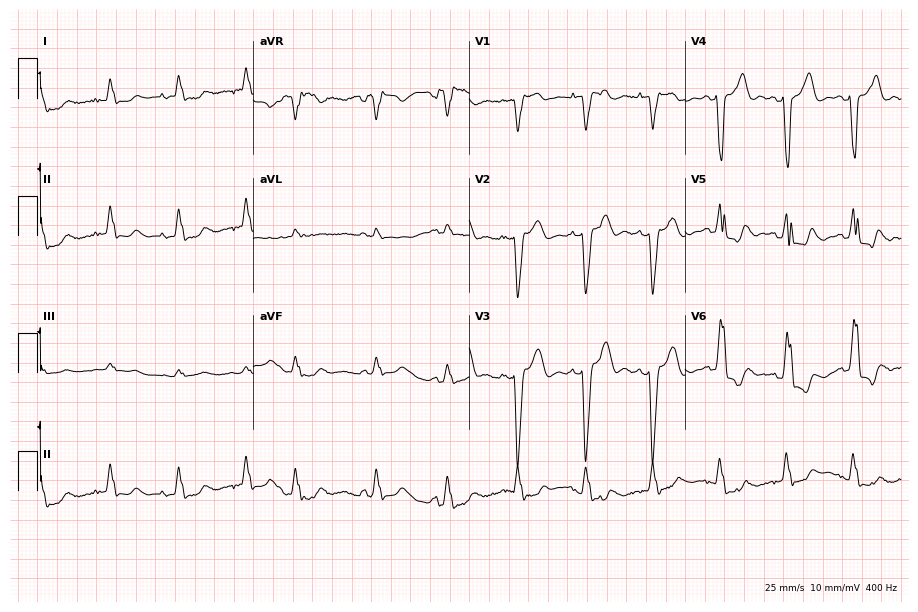
12-lead ECG from an 87-year-old woman (8.8-second recording at 400 Hz). Shows left bundle branch block.